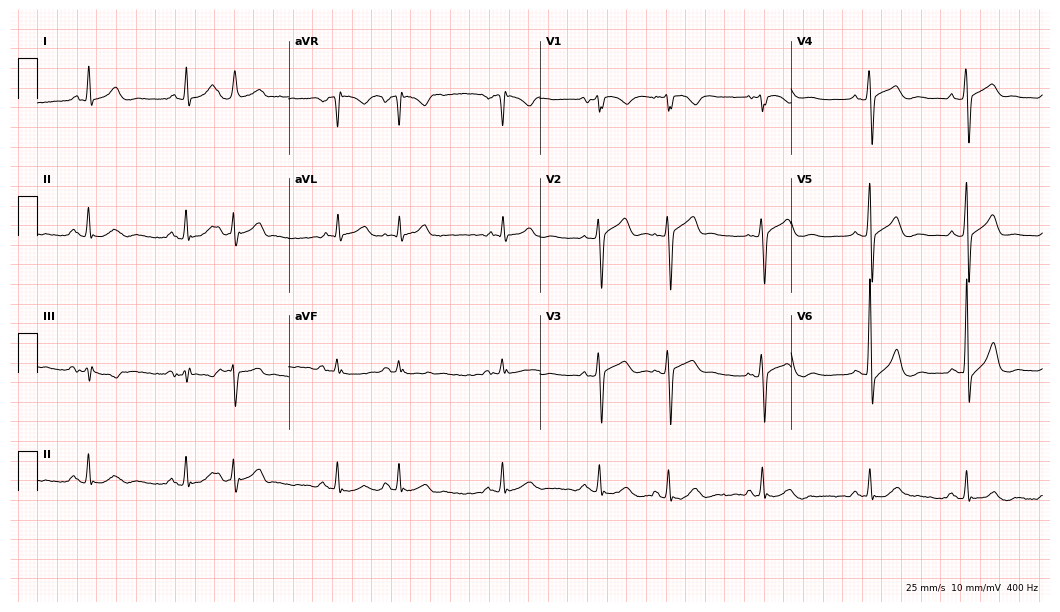
Standard 12-lead ECG recorded from a male, 82 years old. None of these six findings is recorded: first-degree AV block, right bundle branch block, left bundle branch block, sinus bradycardia, atrial fibrillation, sinus tachycardia.